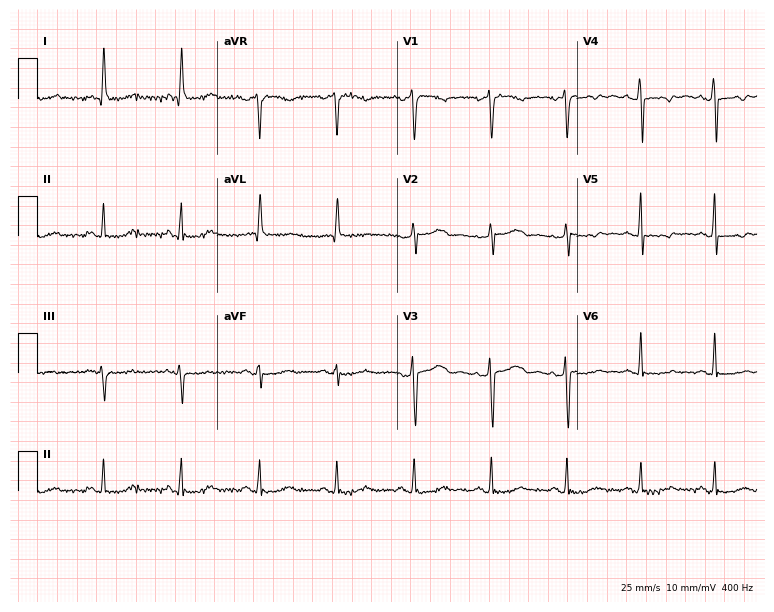
ECG (7.3-second recording at 400 Hz) — a 58-year-old woman. Screened for six findings — first-degree AV block, right bundle branch block, left bundle branch block, sinus bradycardia, atrial fibrillation, sinus tachycardia — none is recorded.